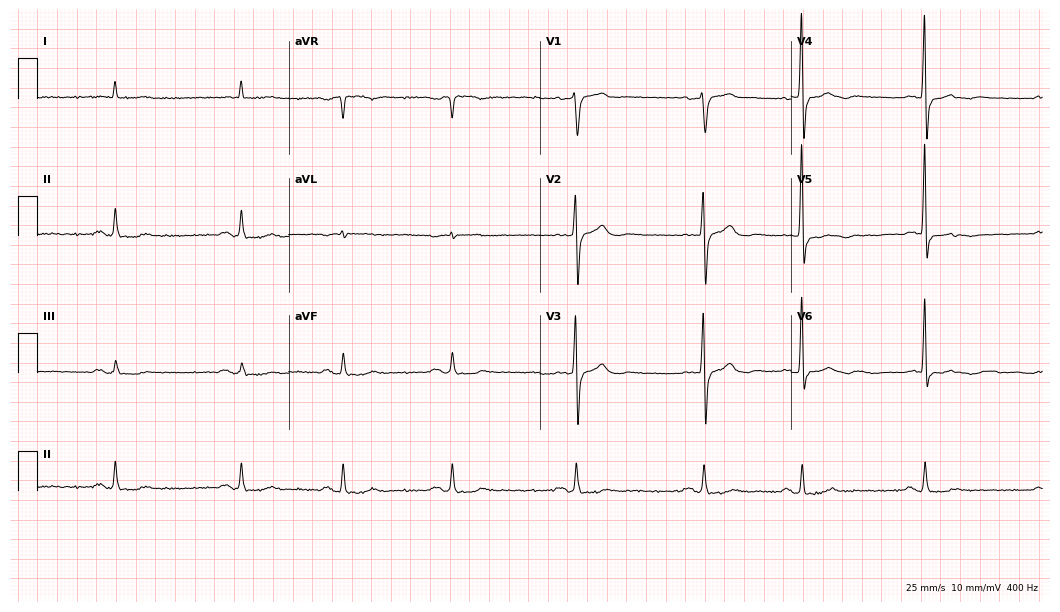
12-lead ECG from a 76-year-old male (10.2-second recording at 400 Hz). Shows sinus bradycardia (a sinus rate of 50 beats per minute or less).